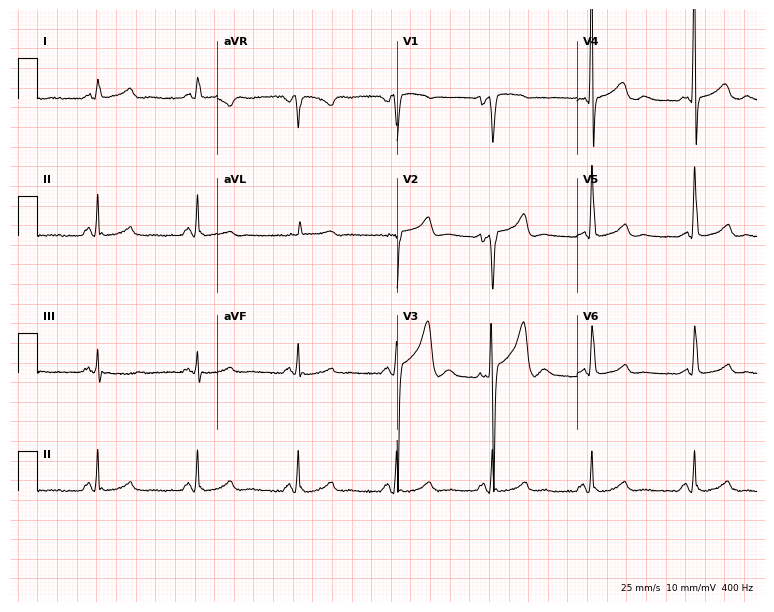
Electrocardiogram, a male, 49 years old. Of the six screened findings (first-degree AV block, right bundle branch block (RBBB), left bundle branch block (LBBB), sinus bradycardia, atrial fibrillation (AF), sinus tachycardia), none is recorded. Findings outside these six are not listed.